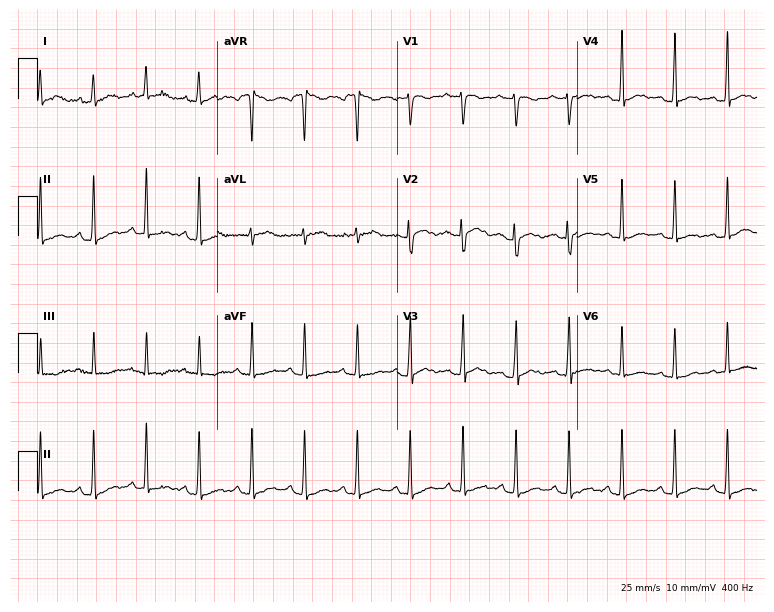
Electrocardiogram (7.3-second recording at 400 Hz), a 29-year-old female. Interpretation includes sinus tachycardia (a sinus rate of 100 beats per minute or more).